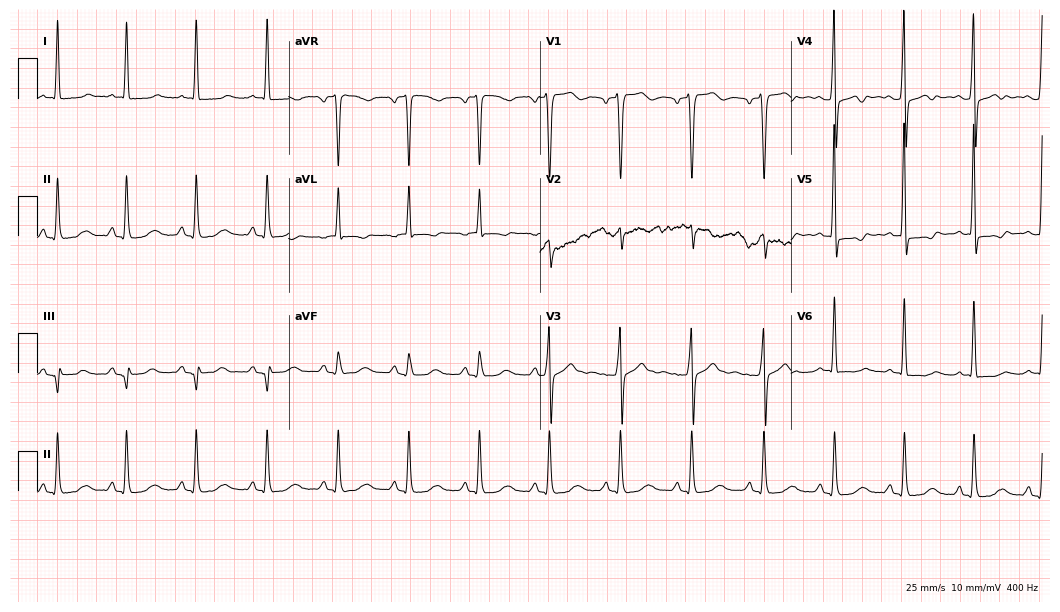
Standard 12-lead ECG recorded from a female, 43 years old (10.2-second recording at 400 Hz). None of these six findings is recorded: first-degree AV block, right bundle branch block (RBBB), left bundle branch block (LBBB), sinus bradycardia, atrial fibrillation (AF), sinus tachycardia. Only these six findings were labelled.